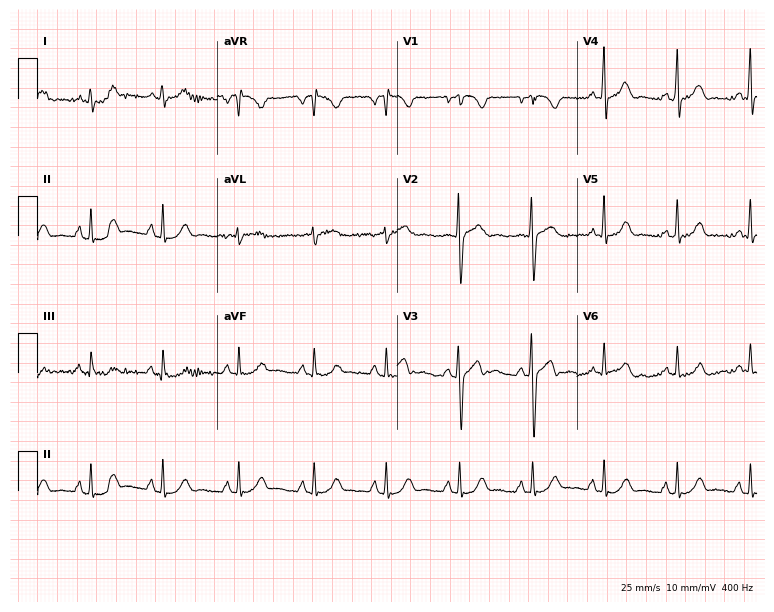
12-lead ECG (7.3-second recording at 400 Hz) from a 45-year-old male patient. Screened for six findings — first-degree AV block, right bundle branch block (RBBB), left bundle branch block (LBBB), sinus bradycardia, atrial fibrillation (AF), sinus tachycardia — none is recorded.